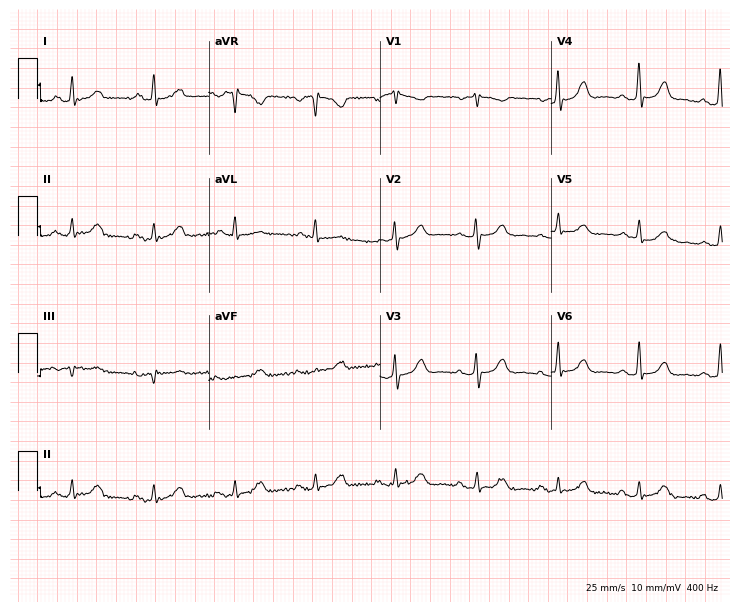
Electrocardiogram, a 70-year-old female. Overall reading on record: normal ECG.